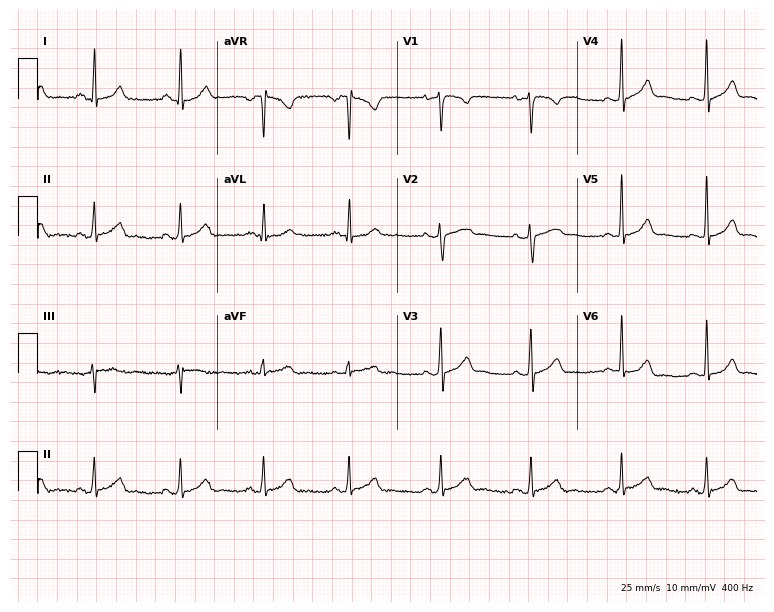
ECG (7.3-second recording at 400 Hz) — a female, 24 years old. Labelled as a normal ECG.